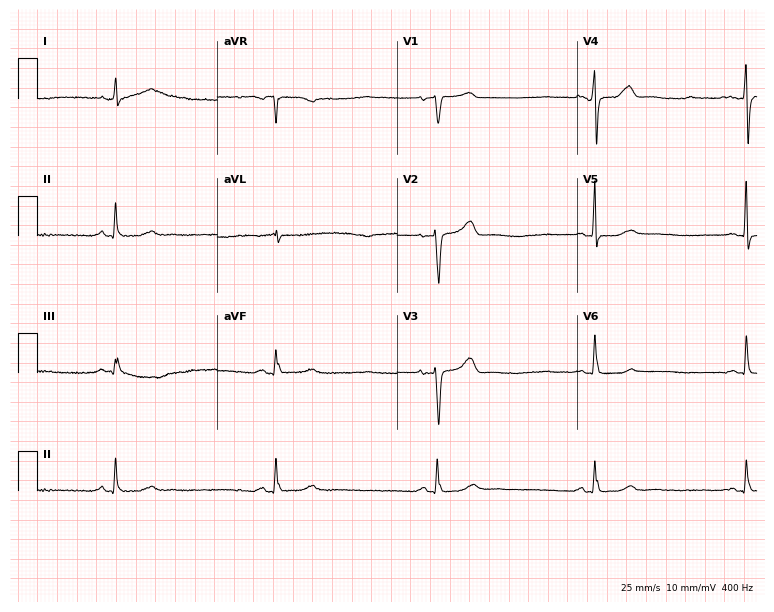
12-lead ECG from a female, 70 years old (7.3-second recording at 400 Hz). No first-degree AV block, right bundle branch block (RBBB), left bundle branch block (LBBB), sinus bradycardia, atrial fibrillation (AF) or sinus tachycardia recorded for this tracing. Findings outside these six are not listed.